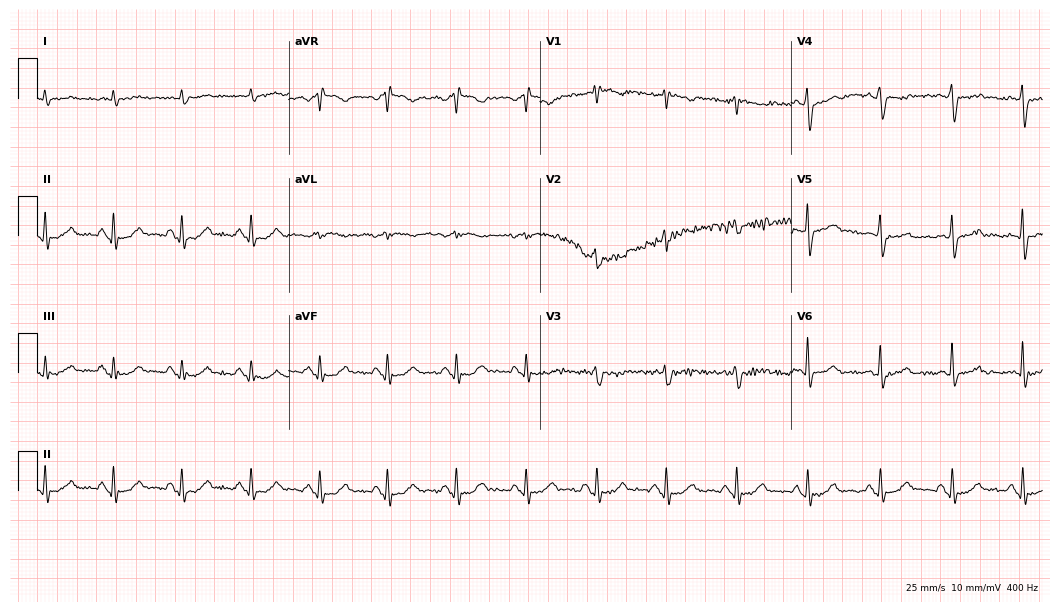
Standard 12-lead ECG recorded from a 78-year-old male patient (10.2-second recording at 400 Hz). None of these six findings is recorded: first-degree AV block, right bundle branch block, left bundle branch block, sinus bradycardia, atrial fibrillation, sinus tachycardia.